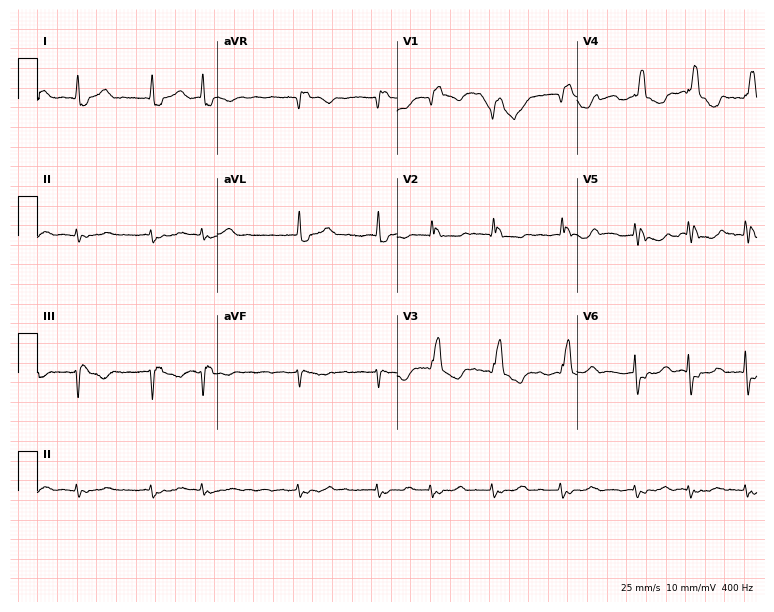
Resting 12-lead electrocardiogram (7.3-second recording at 400 Hz). Patient: a 78-year-old male. The tracing shows right bundle branch block, atrial fibrillation.